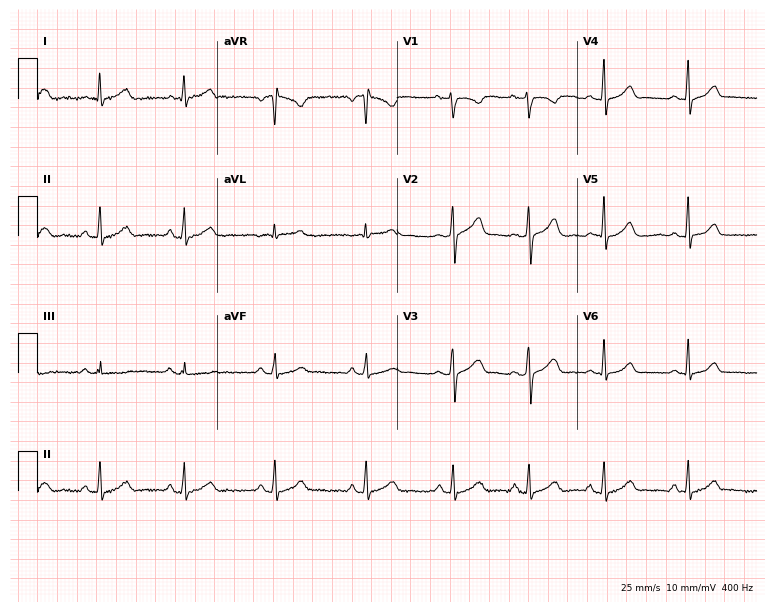
Resting 12-lead electrocardiogram. Patient: a 27-year-old female. Read as a normal ECG.